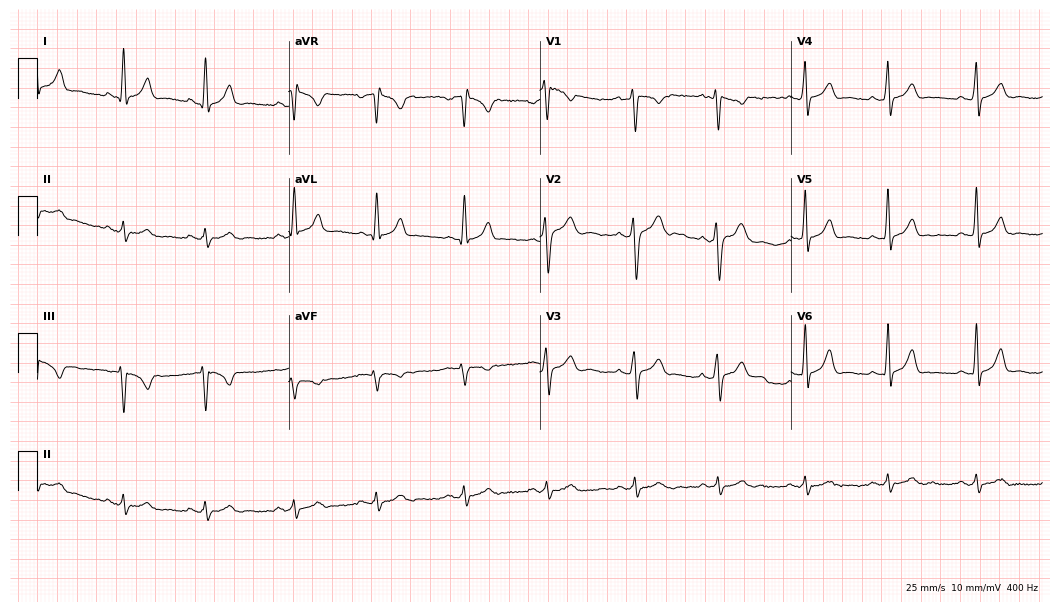
ECG (10.2-second recording at 400 Hz) — a 28-year-old man. Screened for six findings — first-degree AV block, right bundle branch block, left bundle branch block, sinus bradycardia, atrial fibrillation, sinus tachycardia — none is recorded. Only these six findings were labelled.